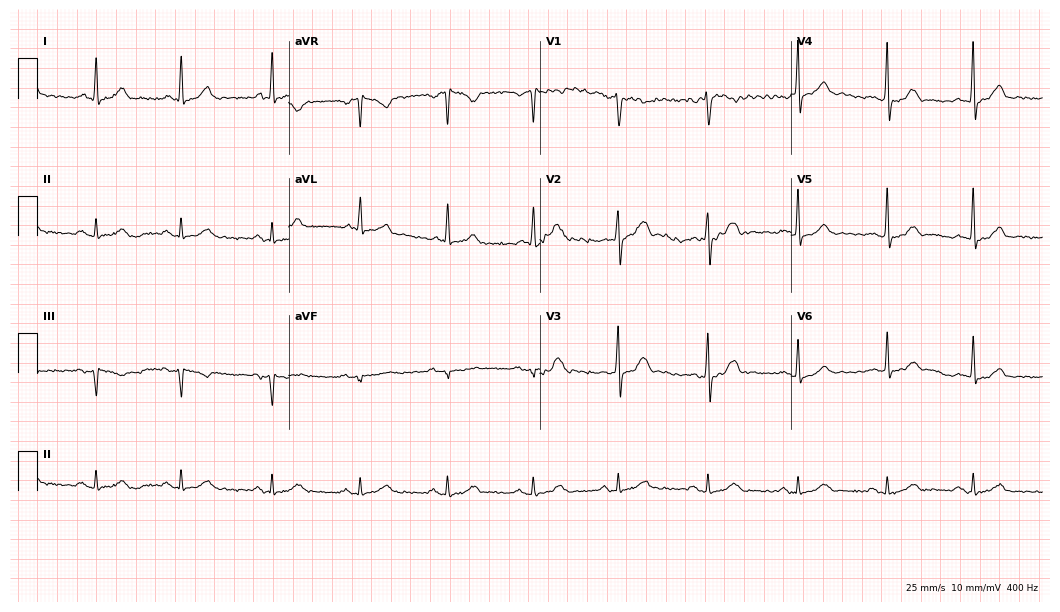
ECG — a woman, 49 years old. Labelled as a normal ECG.